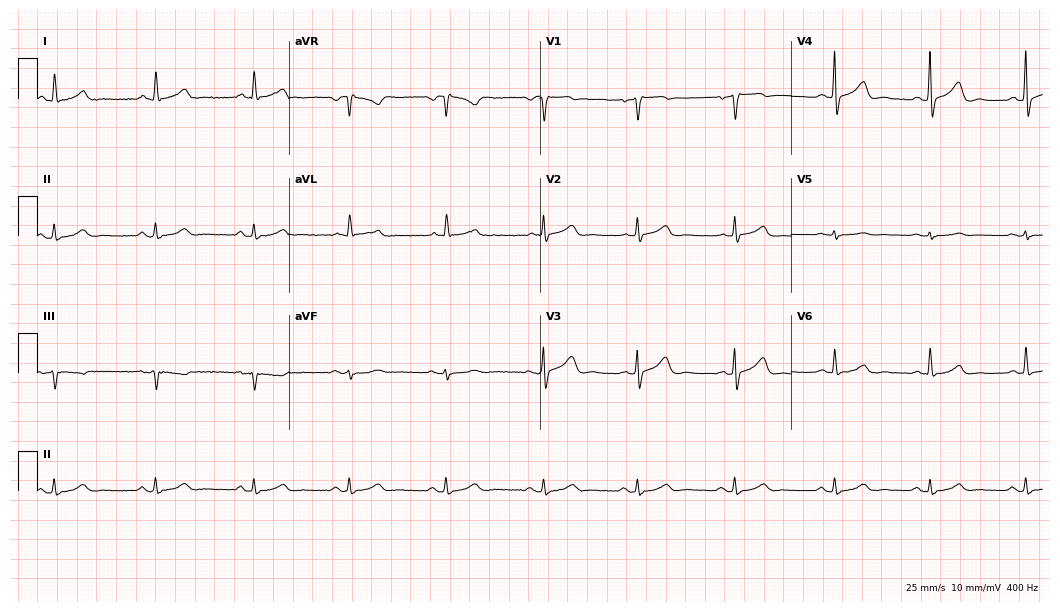
12-lead ECG from a male, 74 years old (10.2-second recording at 400 Hz). No first-degree AV block, right bundle branch block, left bundle branch block, sinus bradycardia, atrial fibrillation or sinus tachycardia recorded for this tracing.